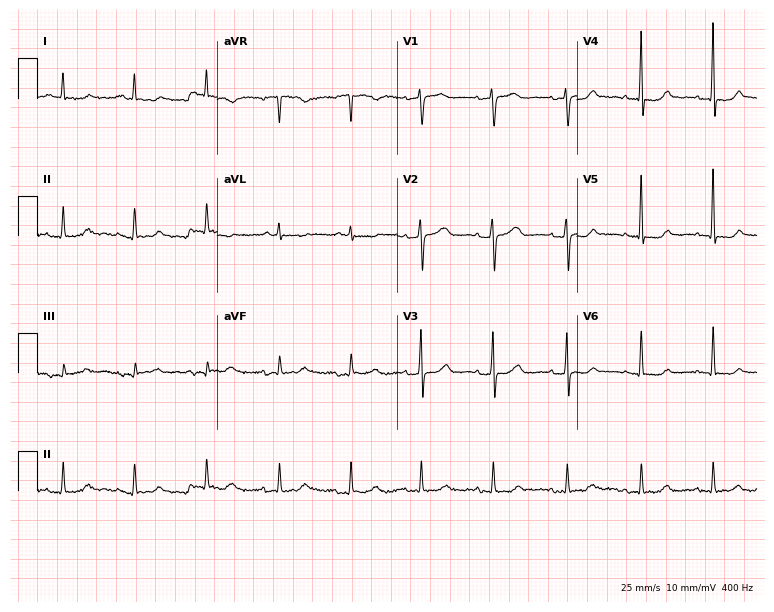
12-lead ECG from a 72-year-old woman (7.3-second recording at 400 Hz). Recorded interpretation: within normal limits.